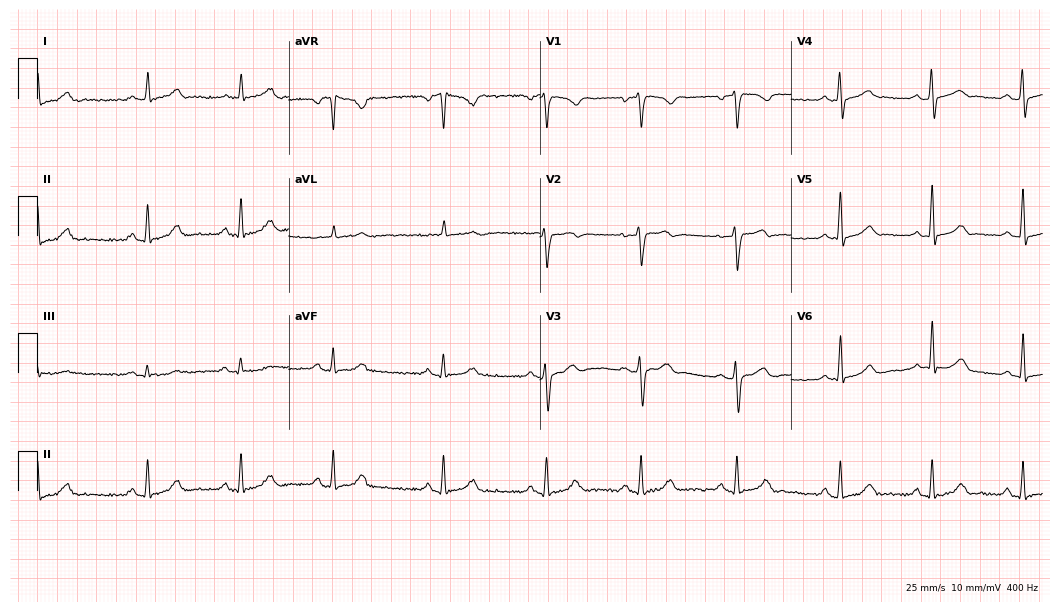
ECG — a female patient, 36 years old. Labelled as a normal ECG.